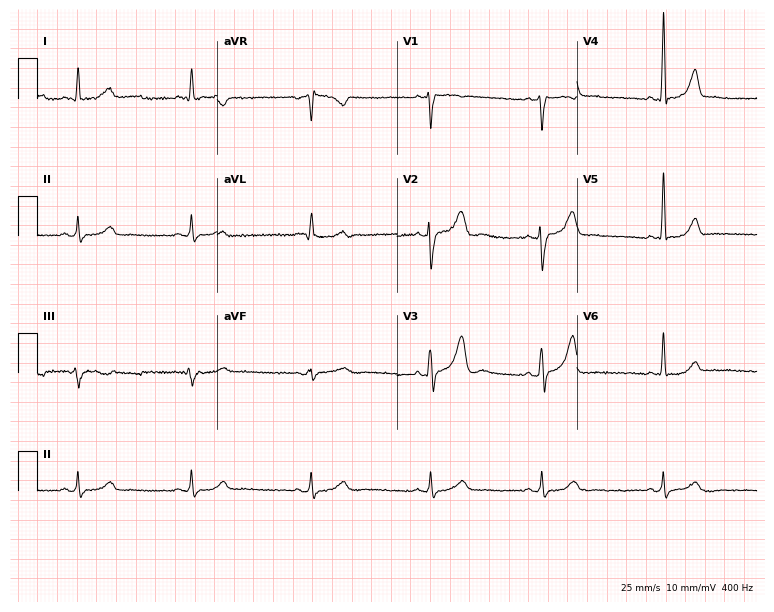
Electrocardiogram (7.3-second recording at 400 Hz), a 47-year-old man. Of the six screened findings (first-degree AV block, right bundle branch block, left bundle branch block, sinus bradycardia, atrial fibrillation, sinus tachycardia), none is recorded. Only these six findings were labelled.